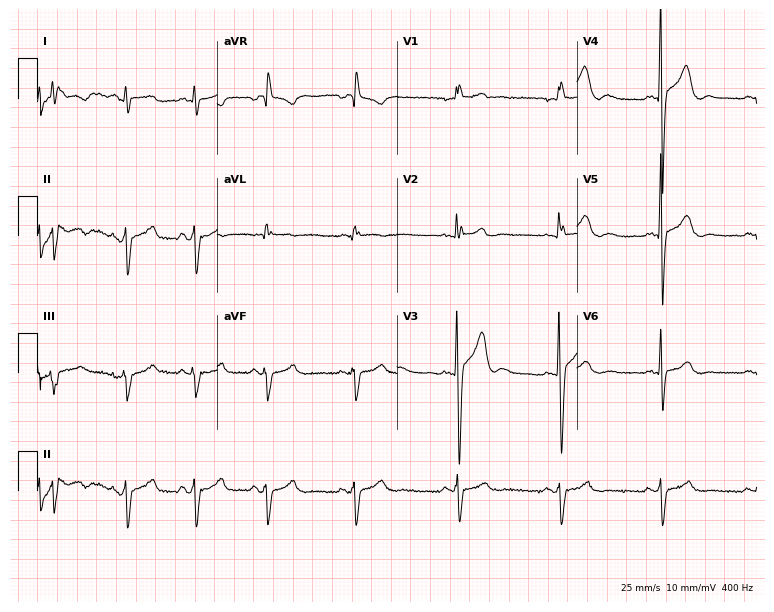
ECG — a 17-year-old male patient. Screened for six findings — first-degree AV block, right bundle branch block, left bundle branch block, sinus bradycardia, atrial fibrillation, sinus tachycardia — none is recorded. Findings outside these six are not listed.